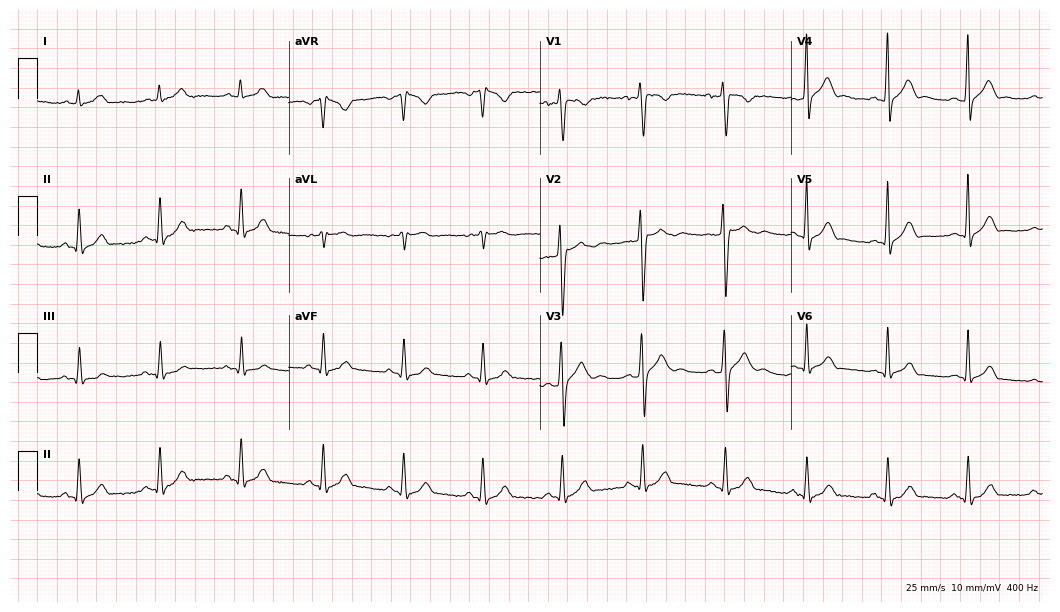
Resting 12-lead electrocardiogram. Patient: a 19-year-old man. None of these six findings is recorded: first-degree AV block, right bundle branch block, left bundle branch block, sinus bradycardia, atrial fibrillation, sinus tachycardia. Findings outside these six are not listed.